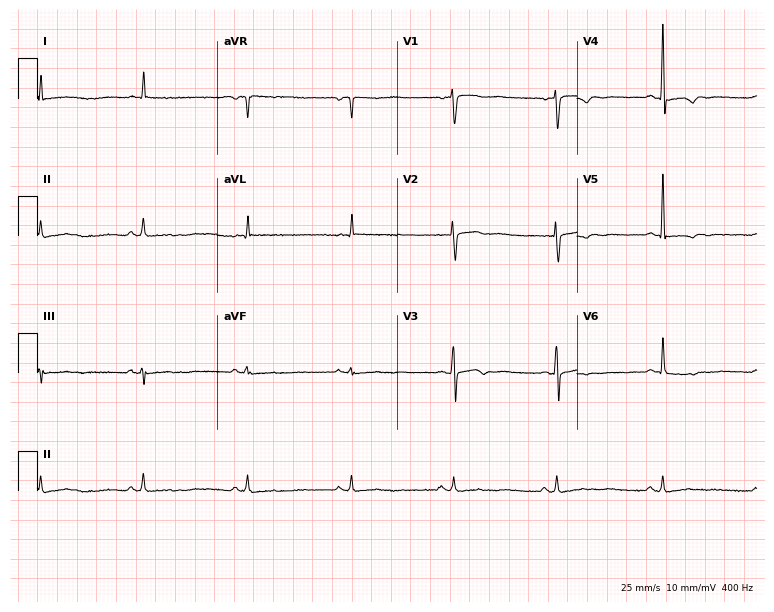
12-lead ECG from a 62-year-old female patient. Screened for six findings — first-degree AV block, right bundle branch block (RBBB), left bundle branch block (LBBB), sinus bradycardia, atrial fibrillation (AF), sinus tachycardia — none is recorded.